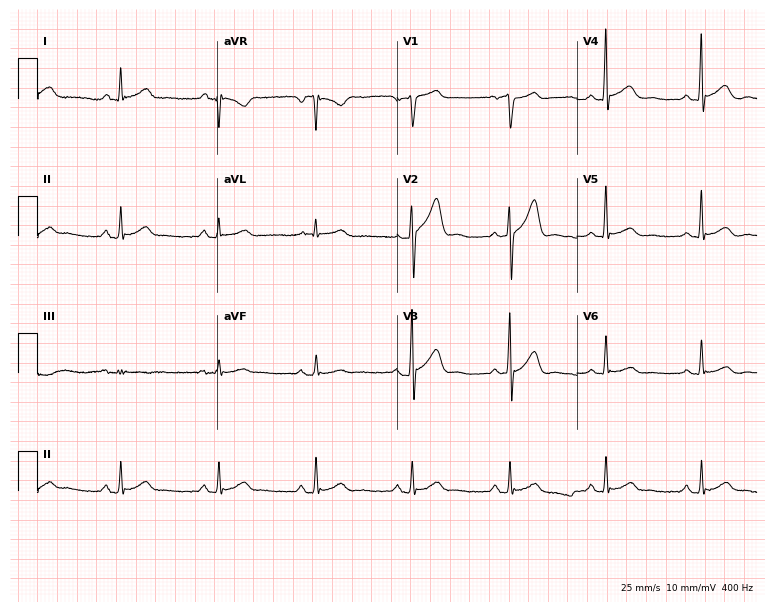
Standard 12-lead ECG recorded from a male patient, 48 years old (7.3-second recording at 400 Hz). None of these six findings is recorded: first-degree AV block, right bundle branch block (RBBB), left bundle branch block (LBBB), sinus bradycardia, atrial fibrillation (AF), sinus tachycardia. Findings outside these six are not listed.